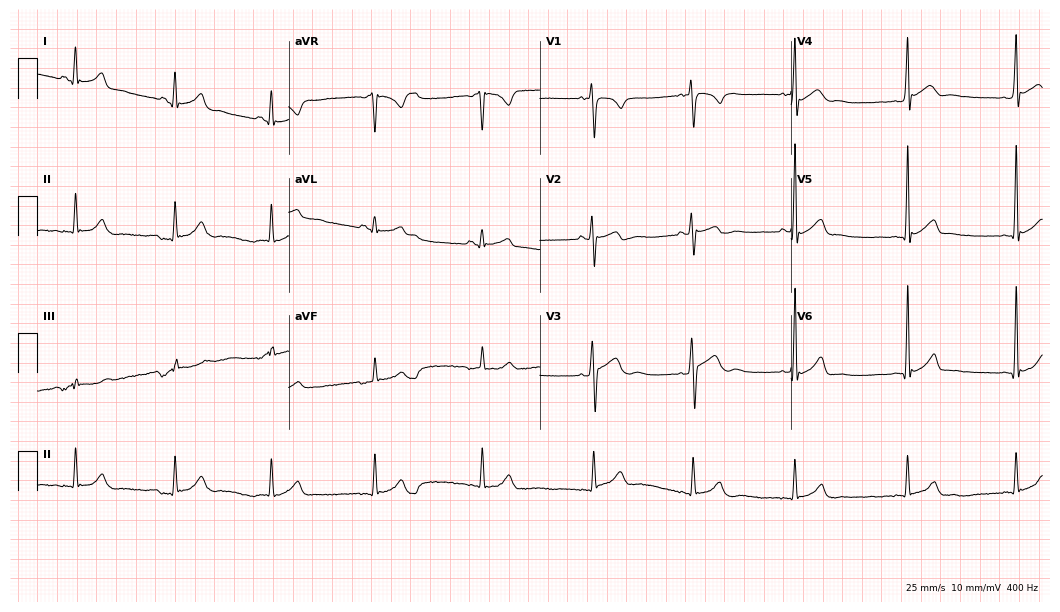
12-lead ECG from a 28-year-old man. Labelled as a normal ECG.